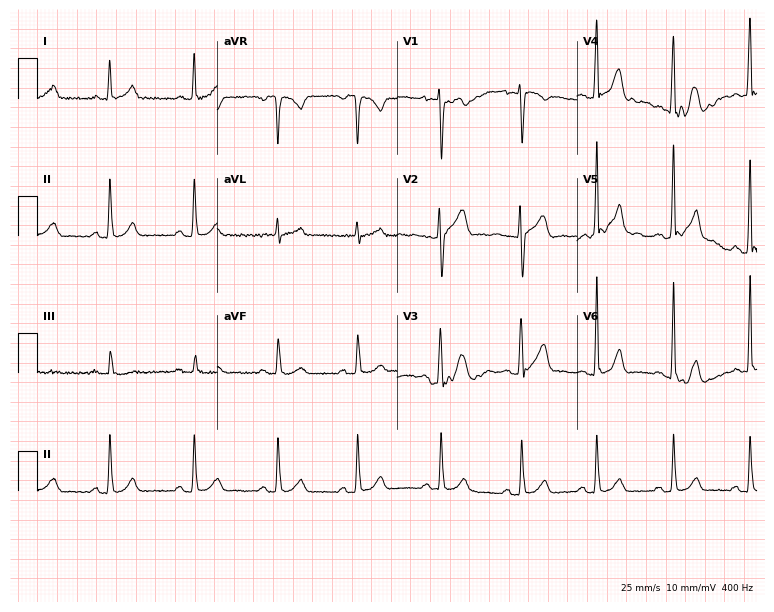
12-lead ECG (7.3-second recording at 400 Hz) from a man, 27 years old. Labelled as a normal ECG.